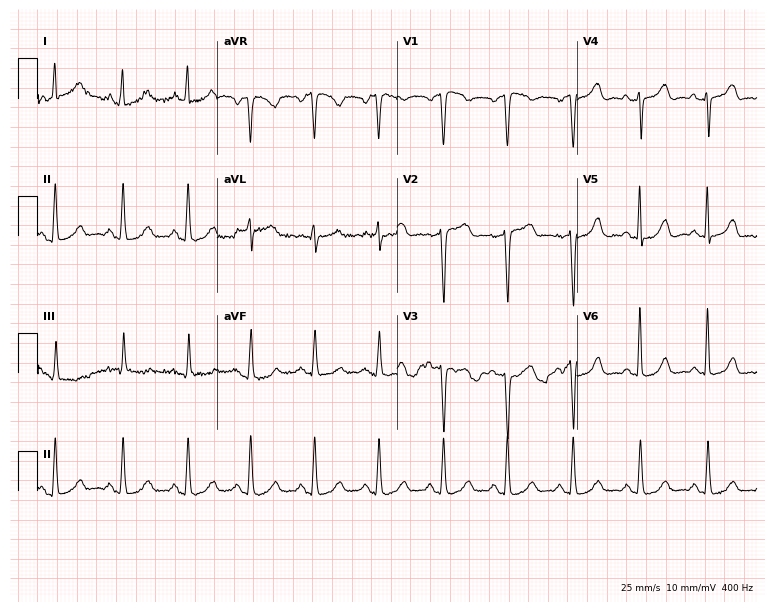
12-lead ECG from a female patient, 52 years old (7.3-second recording at 400 Hz). No first-degree AV block, right bundle branch block, left bundle branch block, sinus bradycardia, atrial fibrillation or sinus tachycardia recorded for this tracing.